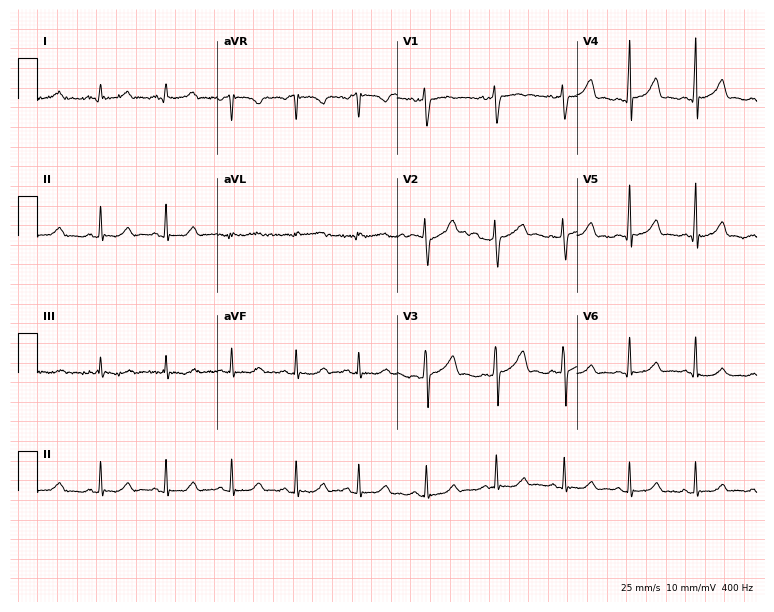
12-lead ECG from a female patient, 20 years old. No first-degree AV block, right bundle branch block (RBBB), left bundle branch block (LBBB), sinus bradycardia, atrial fibrillation (AF) or sinus tachycardia recorded for this tracing. Findings outside these six are not listed.